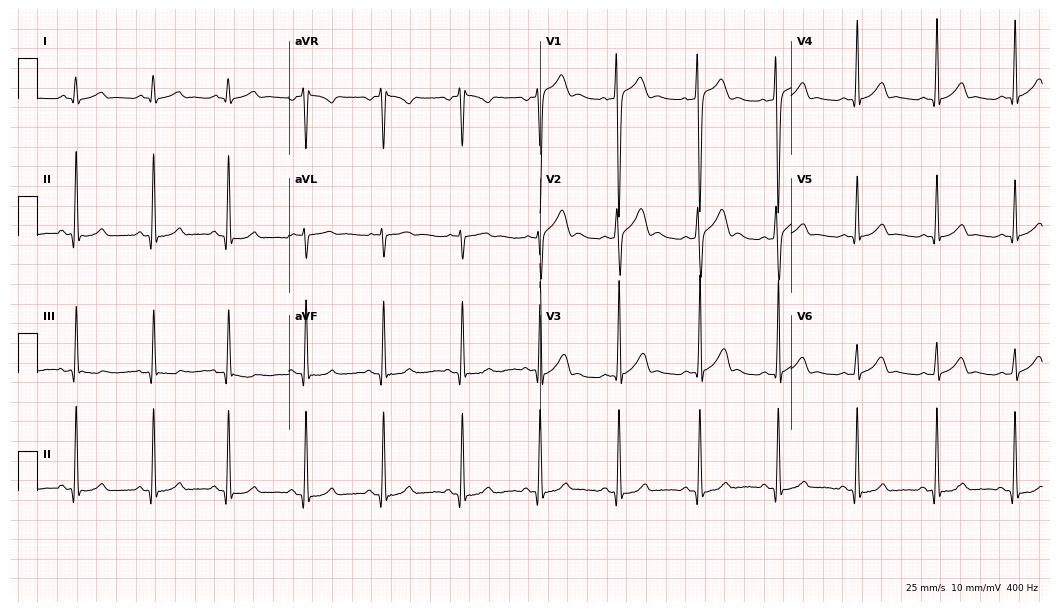
Electrocardiogram (10.2-second recording at 400 Hz), a 20-year-old male. Overall reading on record: normal ECG.